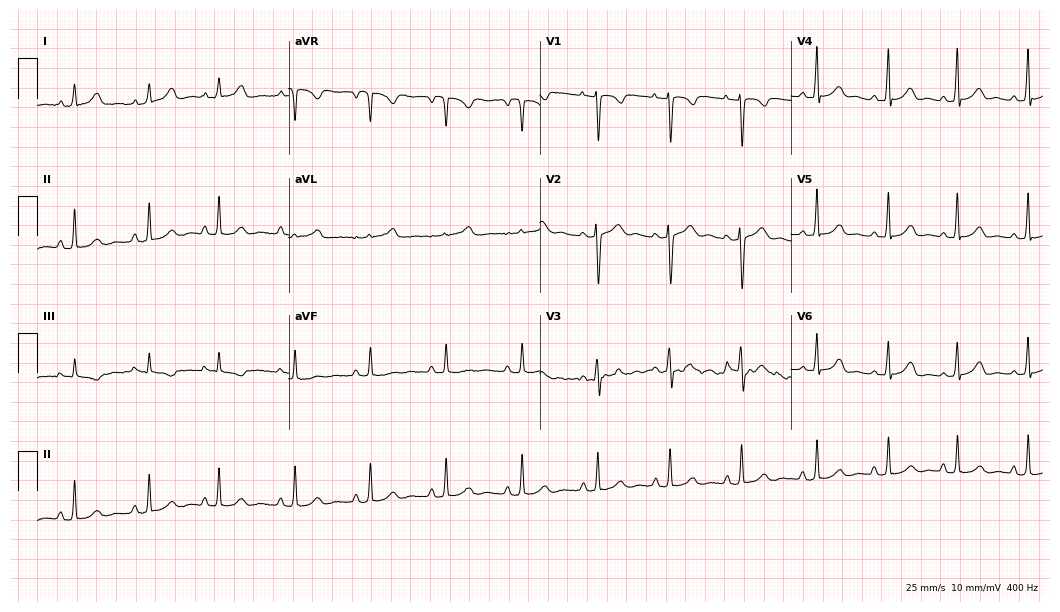
Resting 12-lead electrocardiogram (10.2-second recording at 400 Hz). Patient: a 19-year-old female. Read as a normal ECG.